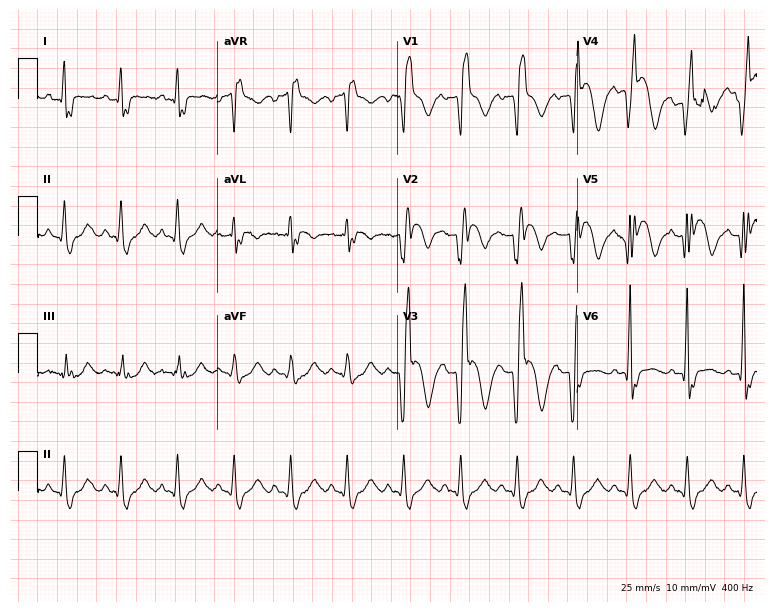
ECG — a 41-year-old male. Findings include right bundle branch block.